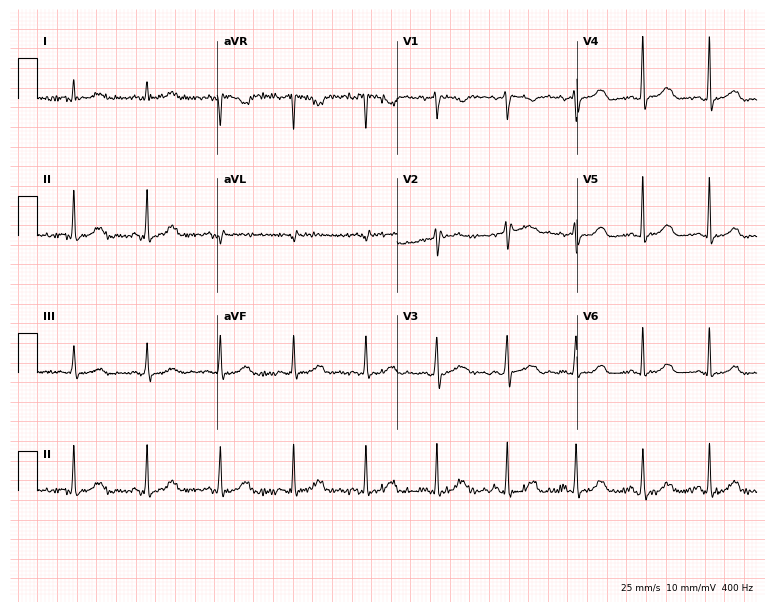
Resting 12-lead electrocardiogram (7.3-second recording at 400 Hz). Patient: a woman, 46 years old. Read as a normal ECG.